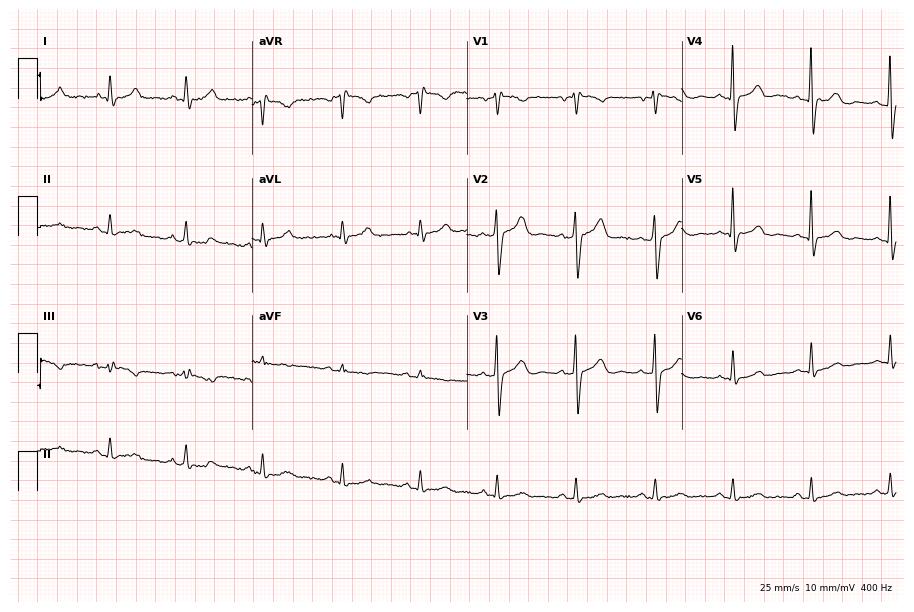
12-lead ECG from a 54-year-old male patient (8.8-second recording at 400 Hz). No first-degree AV block, right bundle branch block, left bundle branch block, sinus bradycardia, atrial fibrillation or sinus tachycardia recorded for this tracing. Findings outside these six are not listed.